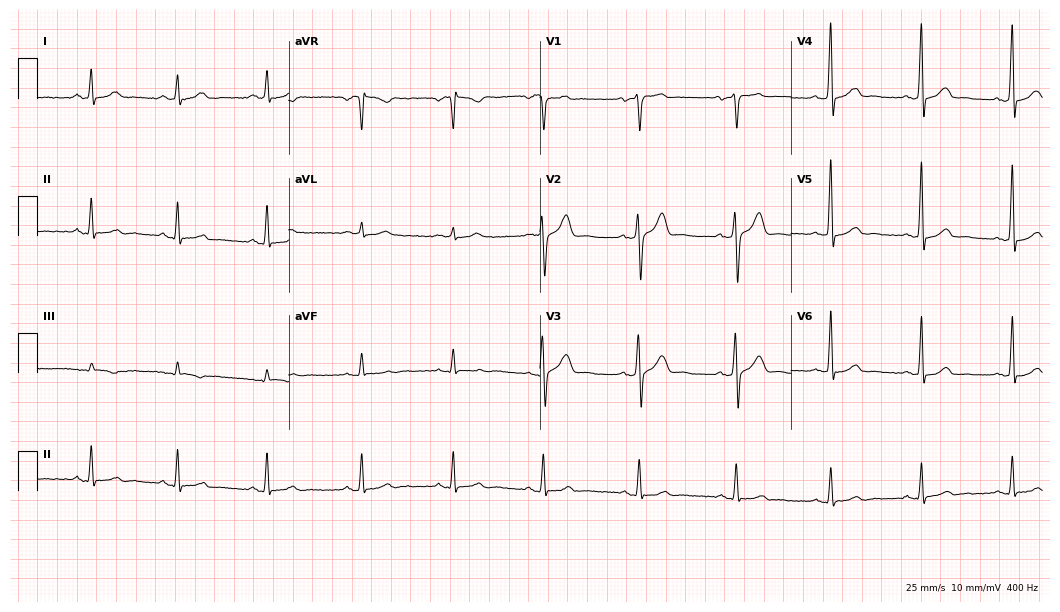
12-lead ECG from a male, 29 years old. Labelled as a normal ECG.